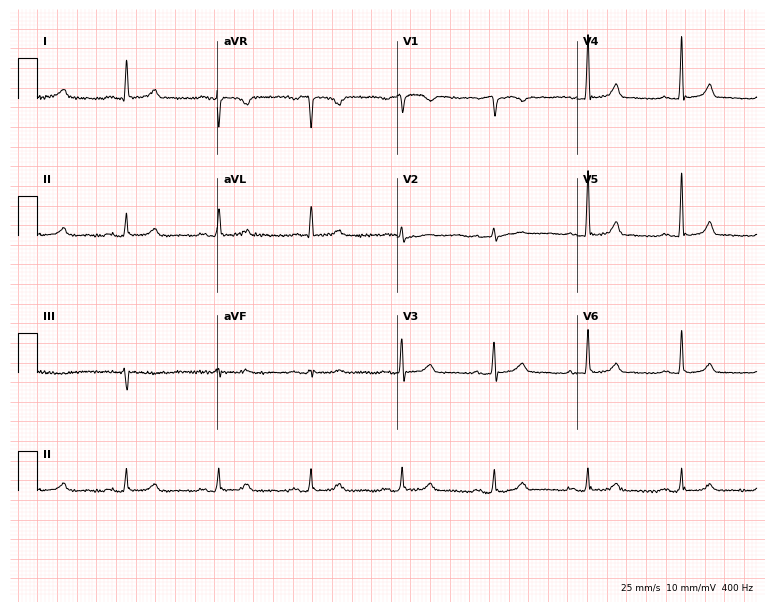
Resting 12-lead electrocardiogram. Patient: a 75-year-old female. Read as a normal ECG.